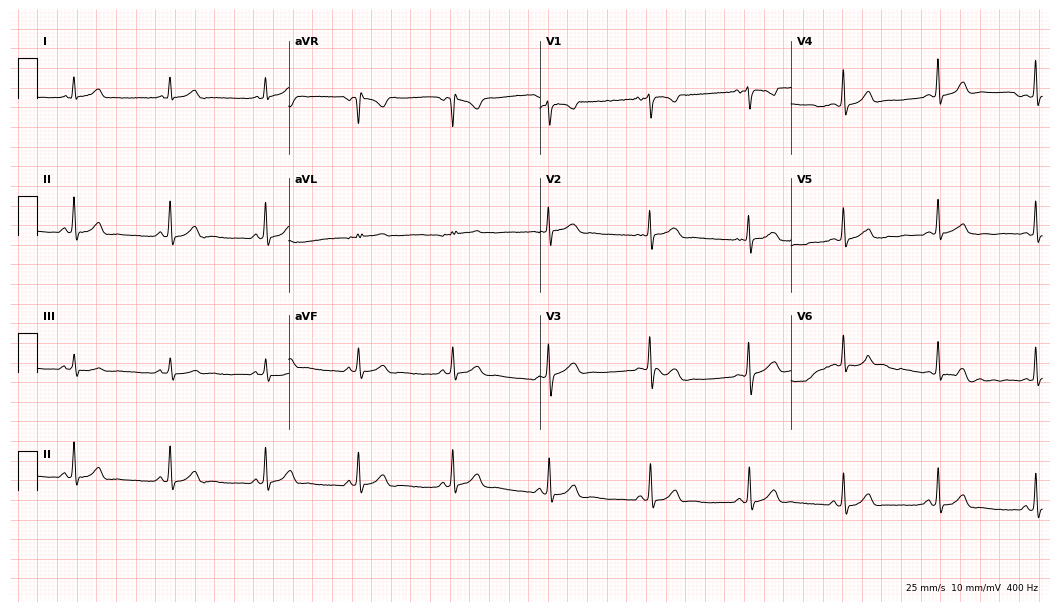
Standard 12-lead ECG recorded from a woman, 30 years old (10.2-second recording at 400 Hz). Read as a normal ECG.